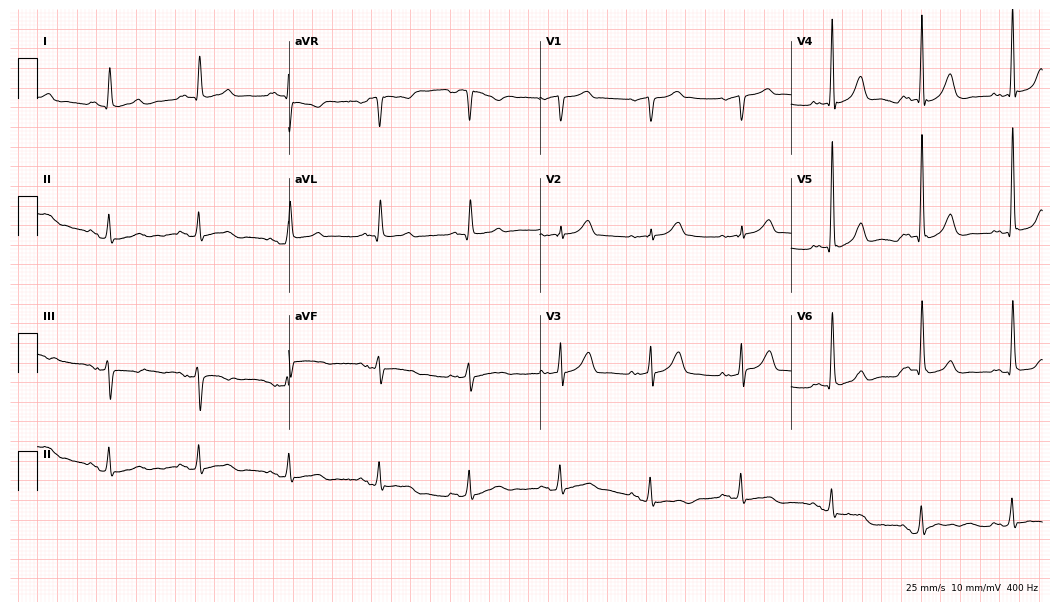
Electrocardiogram, an 81-year-old male patient. Of the six screened findings (first-degree AV block, right bundle branch block, left bundle branch block, sinus bradycardia, atrial fibrillation, sinus tachycardia), none is recorded. Only these six findings were labelled.